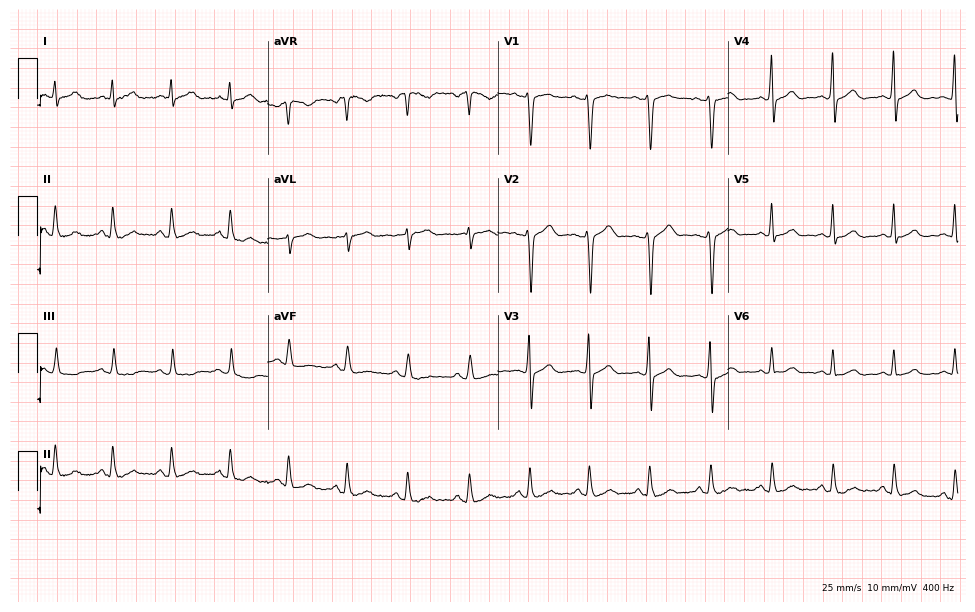
Resting 12-lead electrocardiogram. Patient: a woman, 42 years old. Read as a normal ECG.